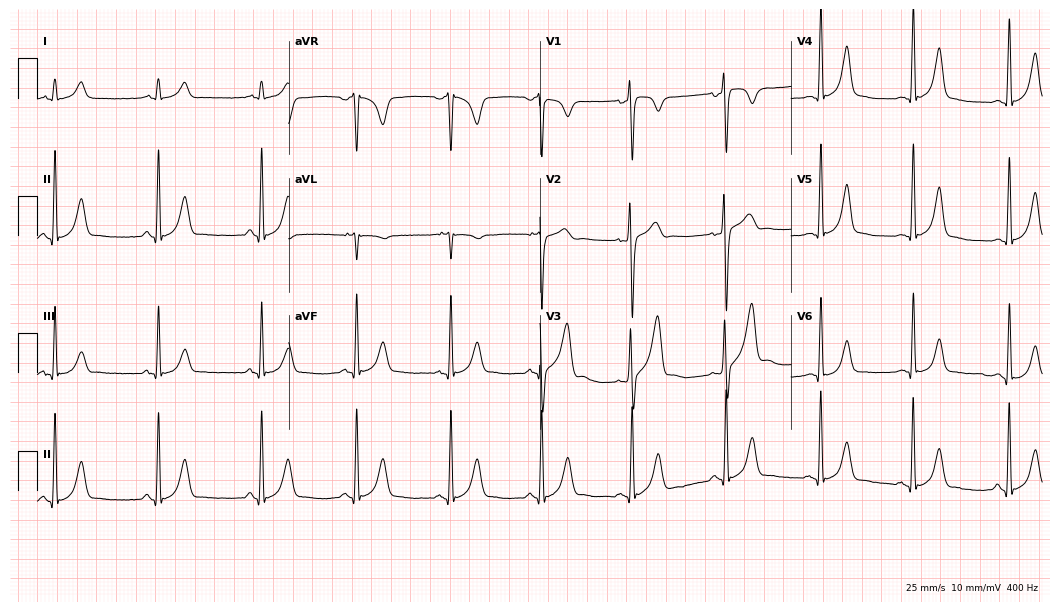
Electrocardiogram (10.2-second recording at 400 Hz), a male, 40 years old. Of the six screened findings (first-degree AV block, right bundle branch block (RBBB), left bundle branch block (LBBB), sinus bradycardia, atrial fibrillation (AF), sinus tachycardia), none is recorded. Other findings, if any, are not listed.